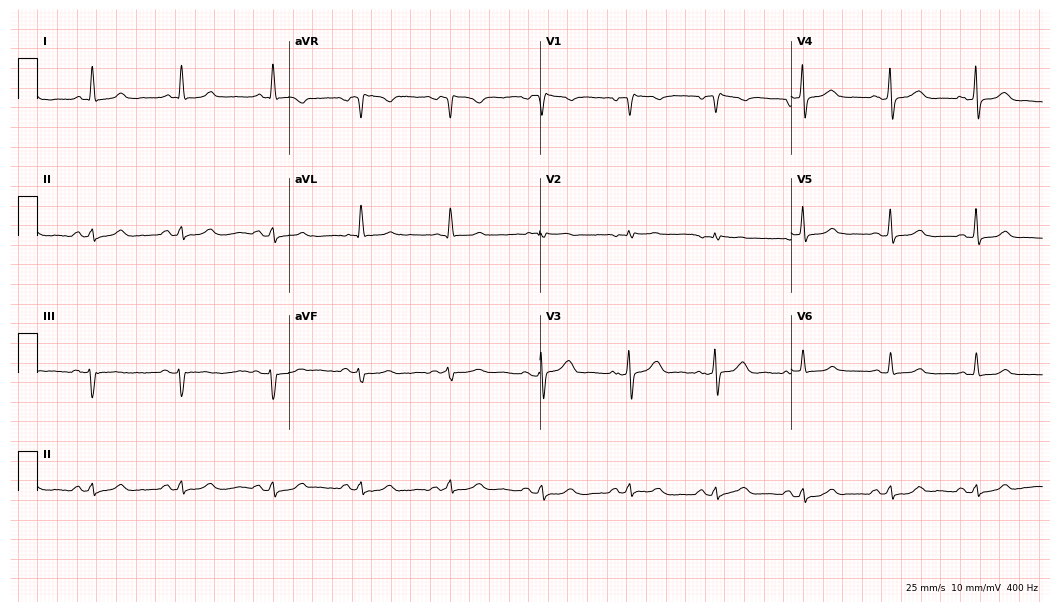
12-lead ECG from a female patient, 67 years old (10.2-second recording at 400 Hz). Recorded interpretation: within normal limits.